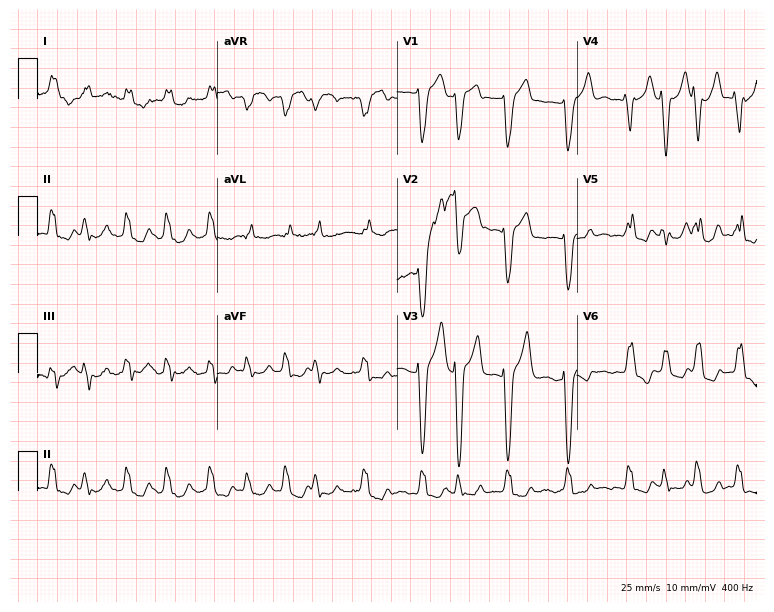
12-lead ECG from a 66-year-old woman. Shows left bundle branch block (LBBB), atrial fibrillation (AF).